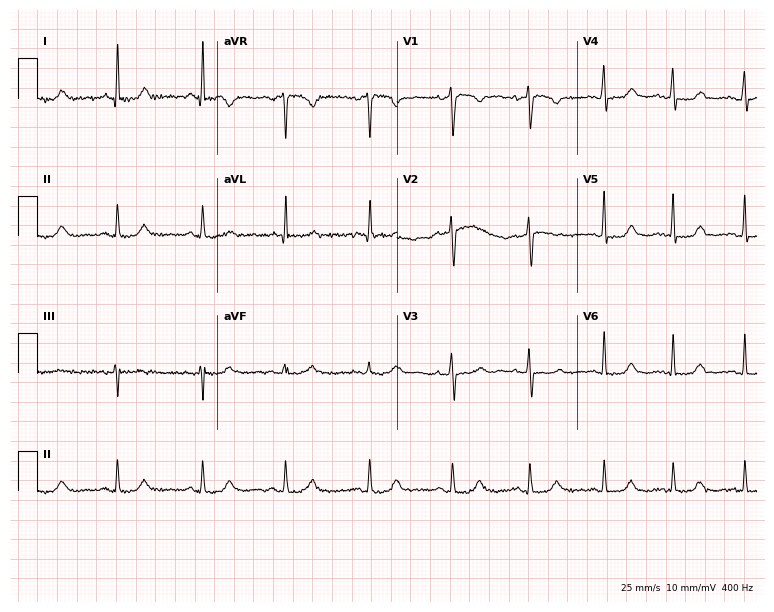
ECG (7.3-second recording at 400 Hz) — a 42-year-old female patient. Screened for six findings — first-degree AV block, right bundle branch block, left bundle branch block, sinus bradycardia, atrial fibrillation, sinus tachycardia — none is recorded. Findings outside these six are not listed.